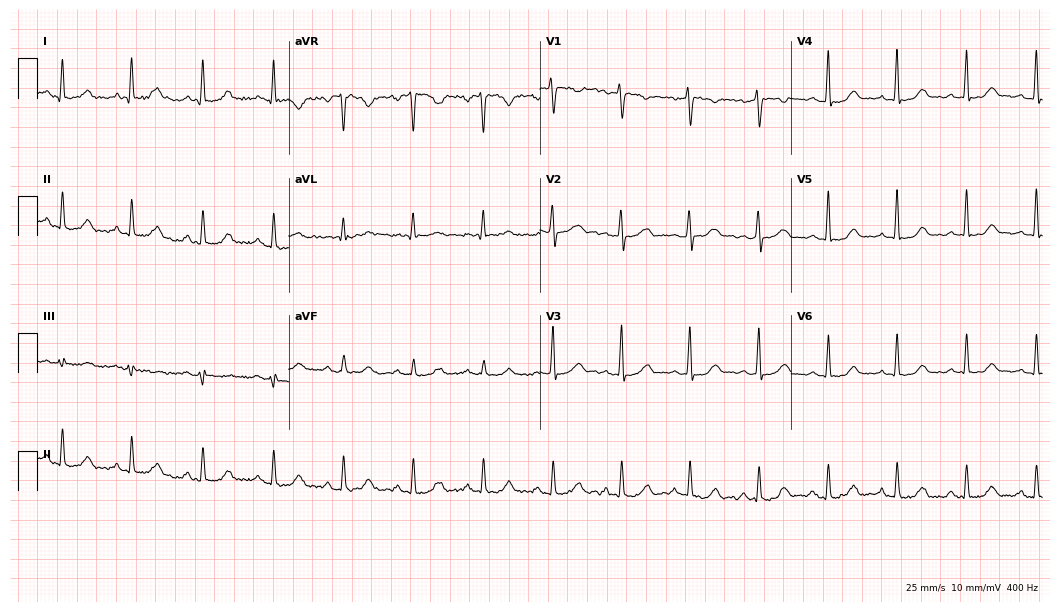
12-lead ECG (10.2-second recording at 400 Hz) from a female patient, 31 years old. Labelled as a normal ECG.